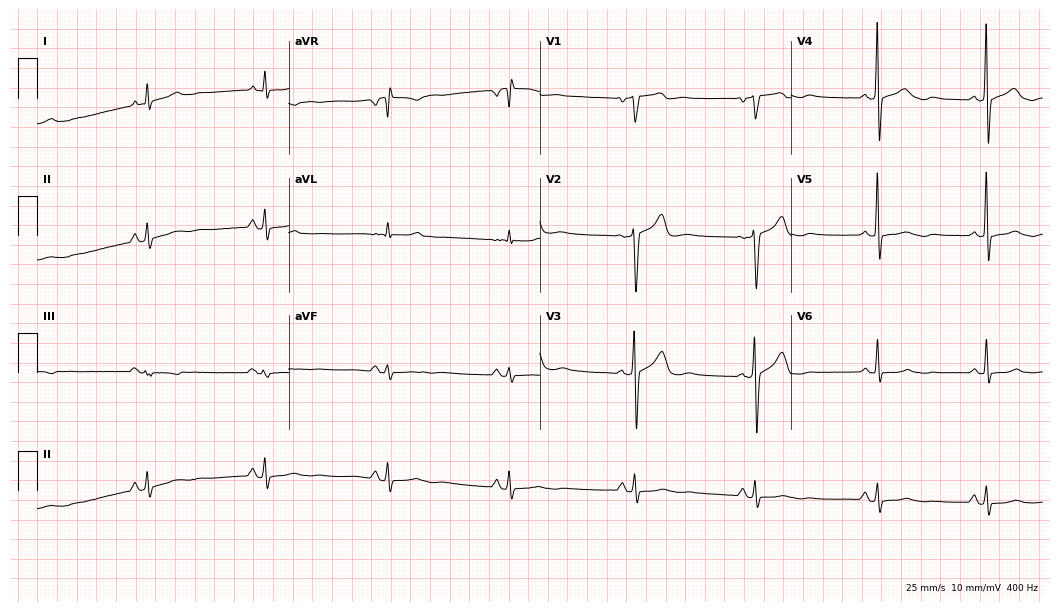
12-lead ECG from a male patient, 52 years old. Shows sinus bradycardia (a sinus rate of 50 beats per minute or less).